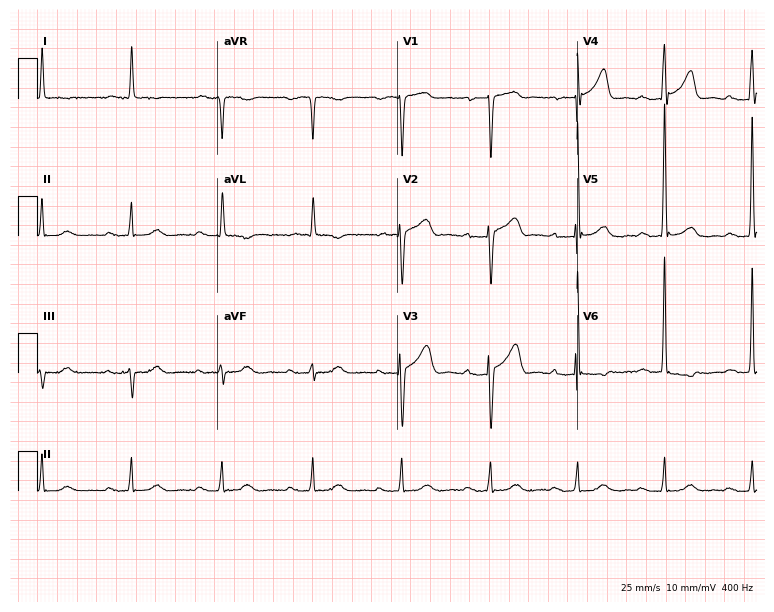
12-lead ECG from a male patient, 80 years old. Findings include first-degree AV block.